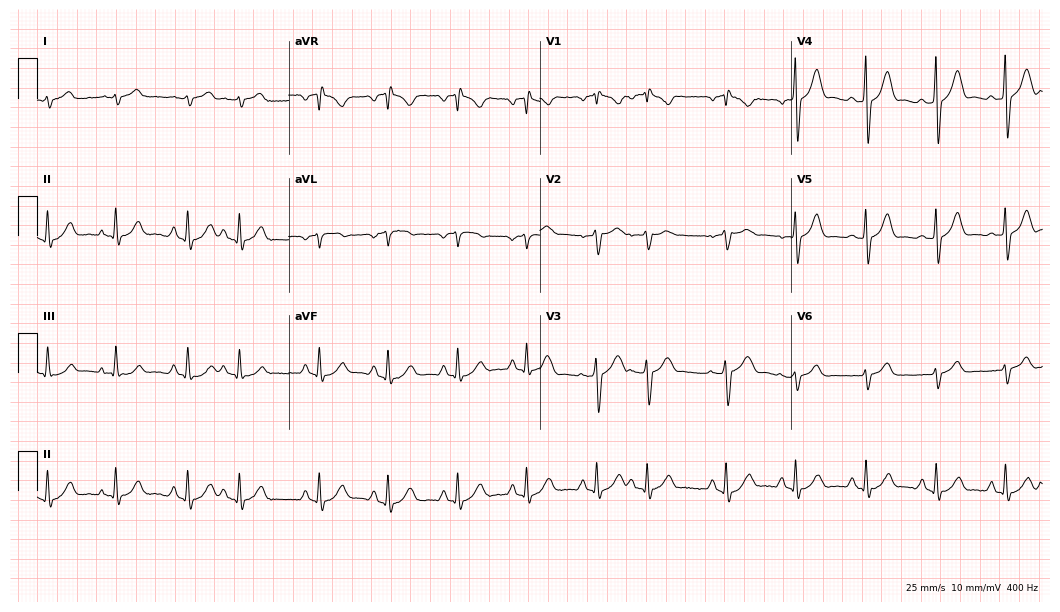
Resting 12-lead electrocardiogram (10.2-second recording at 400 Hz). Patient: a man, 72 years old. None of these six findings is recorded: first-degree AV block, right bundle branch block, left bundle branch block, sinus bradycardia, atrial fibrillation, sinus tachycardia.